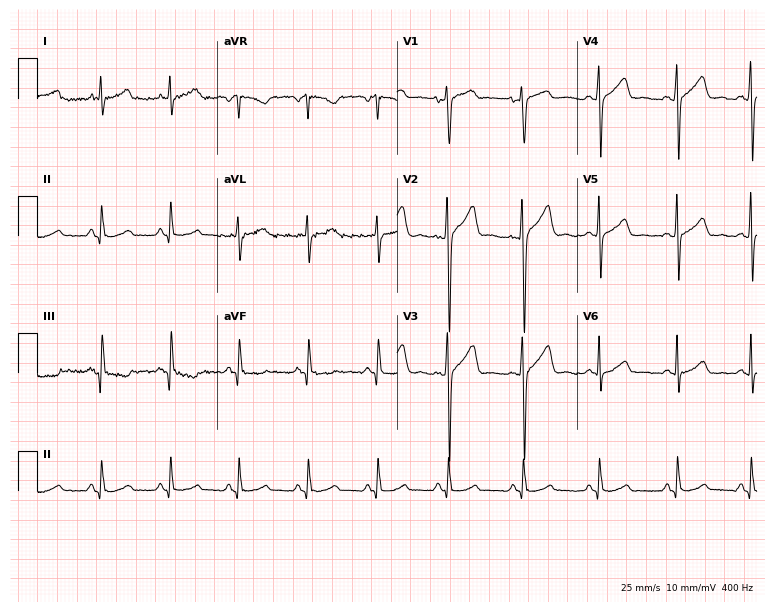
12-lead ECG from a man, 40 years old. No first-degree AV block, right bundle branch block (RBBB), left bundle branch block (LBBB), sinus bradycardia, atrial fibrillation (AF) or sinus tachycardia recorded for this tracing.